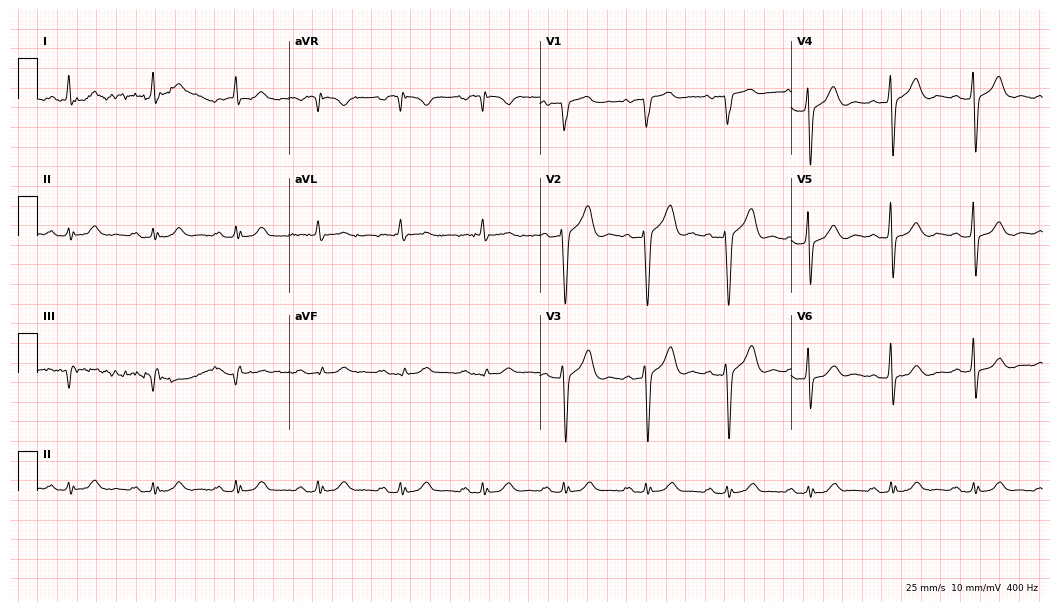
Resting 12-lead electrocardiogram. Patient: a man, 78 years old. Read as a normal ECG.